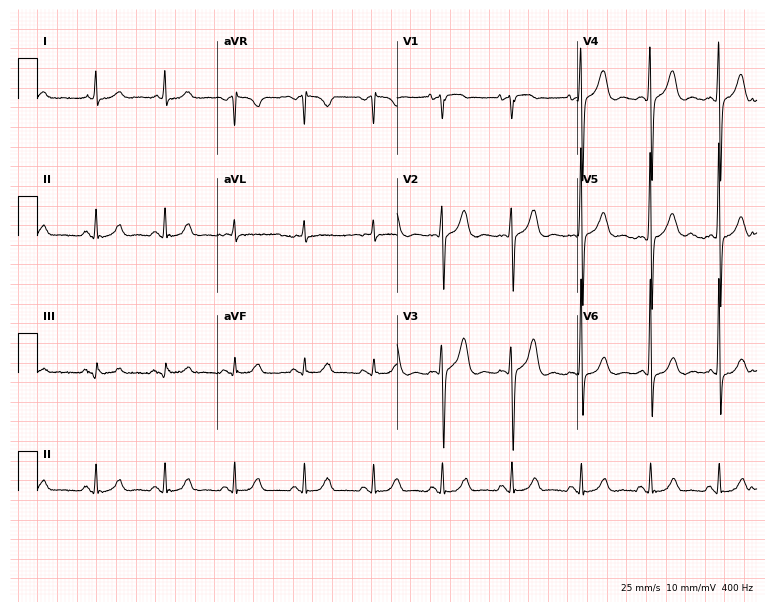
12-lead ECG (7.3-second recording at 400 Hz) from a female patient, 77 years old. Labelled as a normal ECG.